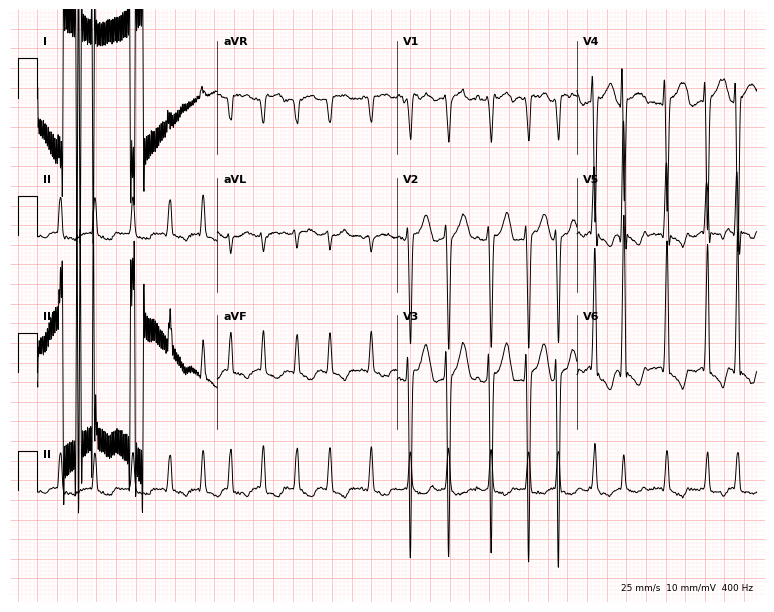
12-lead ECG from an 82-year-old man (7.3-second recording at 400 Hz). Shows atrial fibrillation (AF).